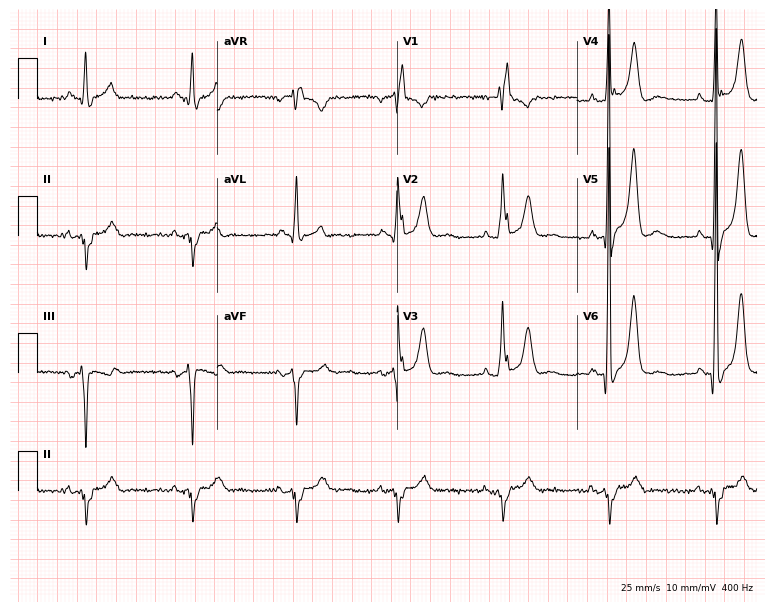
Resting 12-lead electrocardiogram (7.3-second recording at 400 Hz). Patient: a 48-year-old male. The tracing shows right bundle branch block.